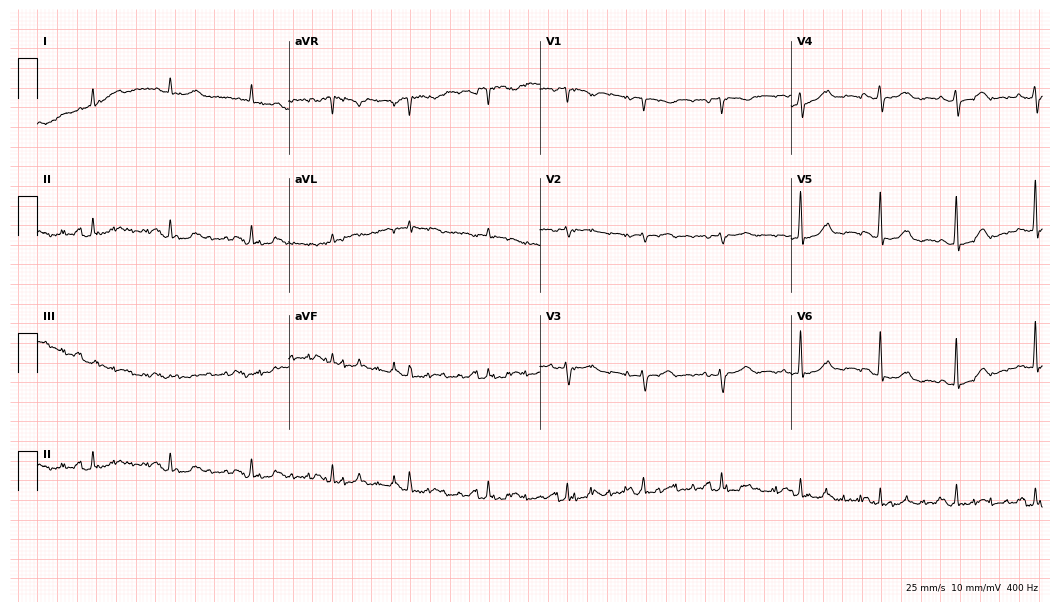
Resting 12-lead electrocardiogram (10.2-second recording at 400 Hz). Patient: a 74-year-old female. None of these six findings is recorded: first-degree AV block, right bundle branch block, left bundle branch block, sinus bradycardia, atrial fibrillation, sinus tachycardia. Other findings, if any, are not listed.